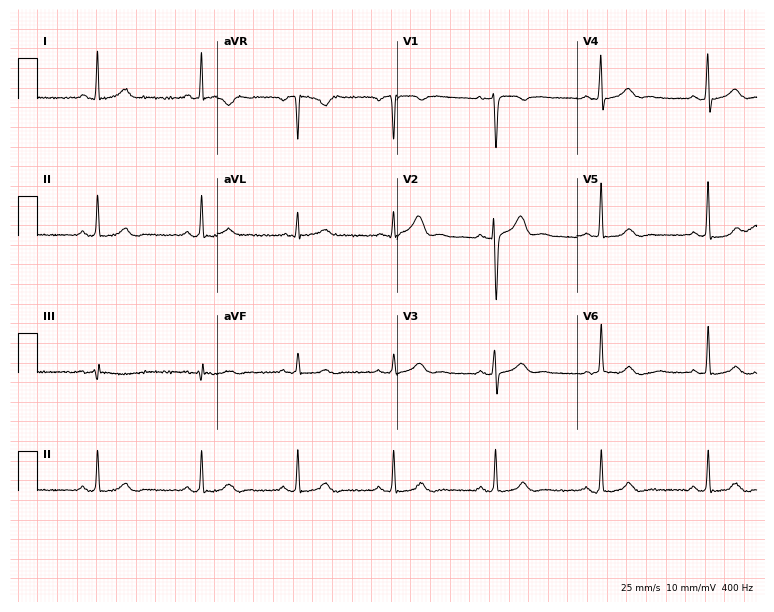
ECG — a male patient, 39 years old. Labelled as a normal ECG.